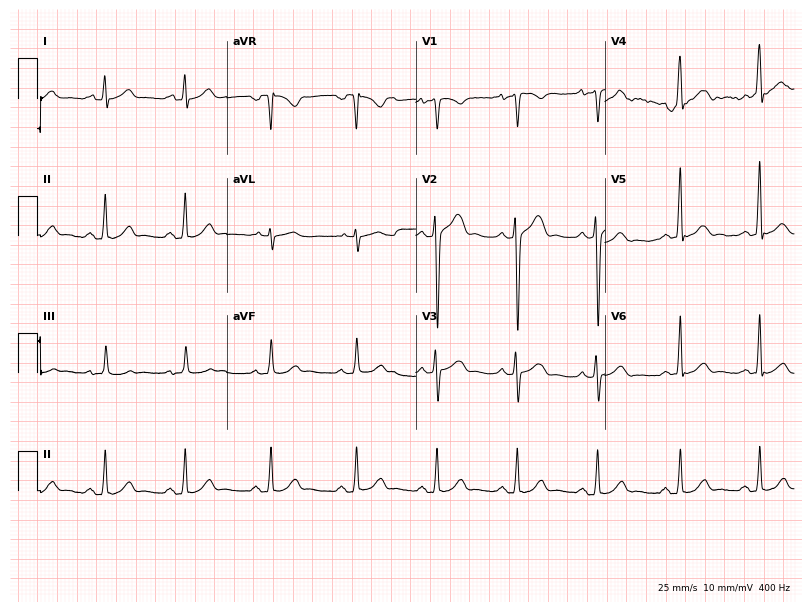
Resting 12-lead electrocardiogram (7.7-second recording at 400 Hz). Patient: an 18-year-old man. None of these six findings is recorded: first-degree AV block, right bundle branch block (RBBB), left bundle branch block (LBBB), sinus bradycardia, atrial fibrillation (AF), sinus tachycardia. Only these six findings were labelled.